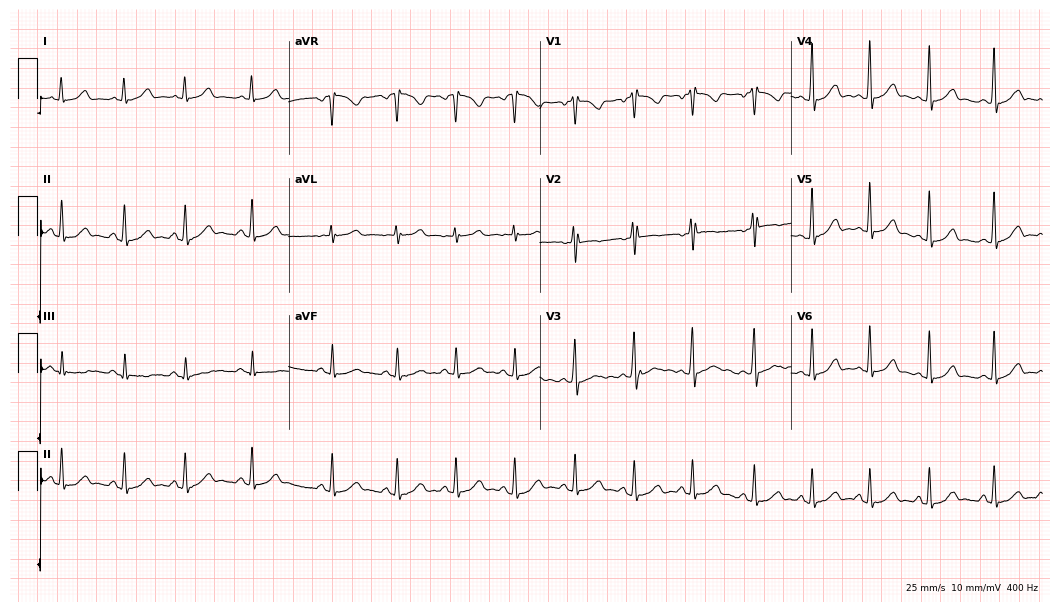
12-lead ECG from an 18-year-old woman. Screened for six findings — first-degree AV block, right bundle branch block (RBBB), left bundle branch block (LBBB), sinus bradycardia, atrial fibrillation (AF), sinus tachycardia — none is recorded.